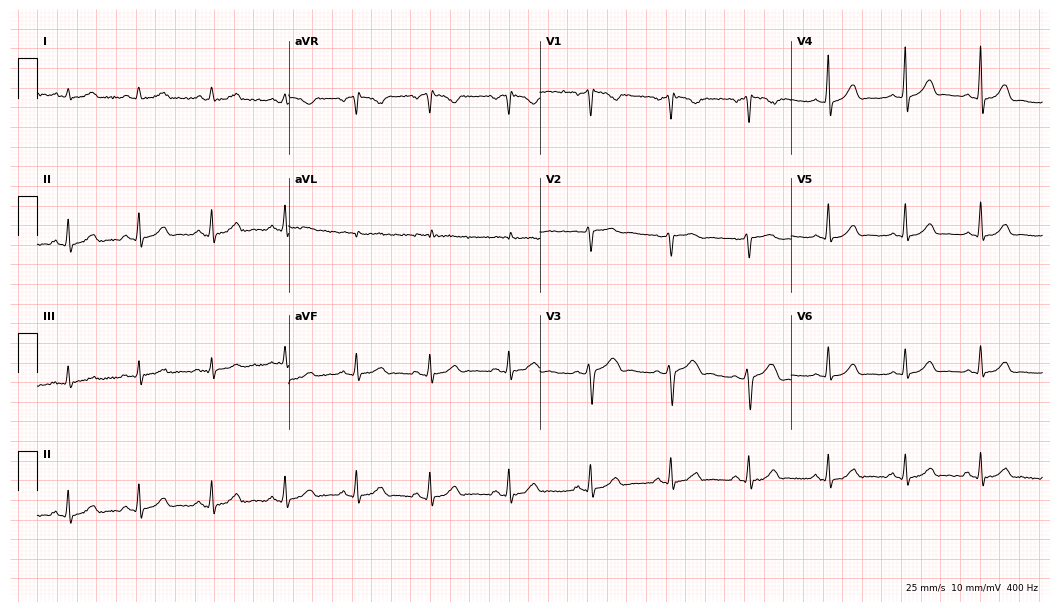
12-lead ECG from a woman, 39 years old. No first-degree AV block, right bundle branch block, left bundle branch block, sinus bradycardia, atrial fibrillation or sinus tachycardia recorded for this tracing.